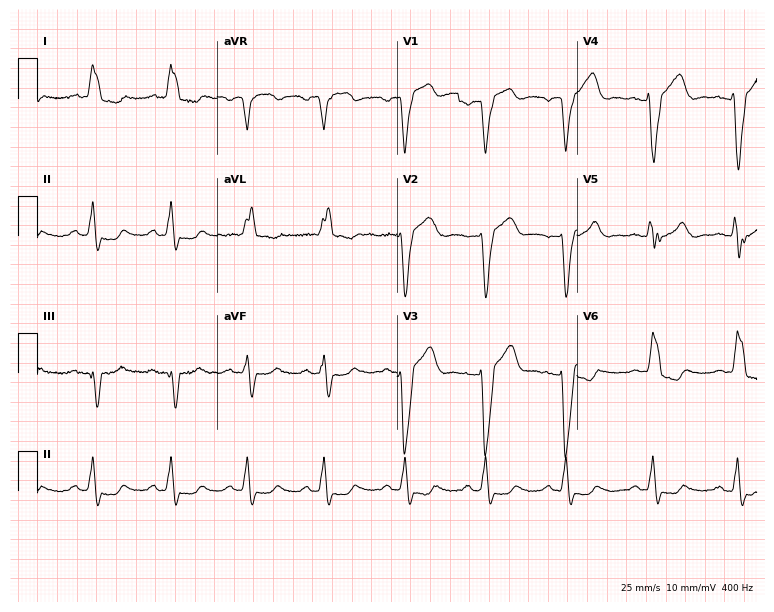
Electrocardiogram (7.3-second recording at 400 Hz), a 64-year-old man. Of the six screened findings (first-degree AV block, right bundle branch block (RBBB), left bundle branch block (LBBB), sinus bradycardia, atrial fibrillation (AF), sinus tachycardia), none is recorded. Other findings, if any, are not listed.